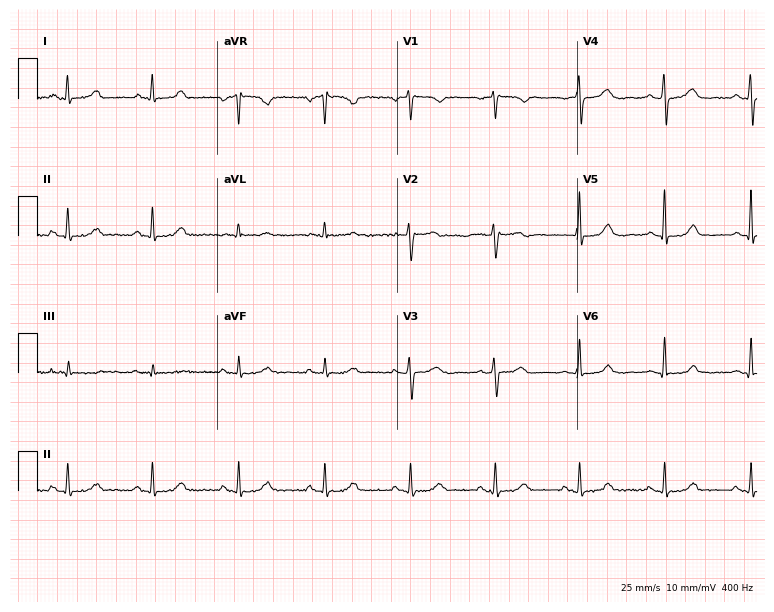
12-lead ECG from a 62-year-old female. Recorded interpretation: within normal limits.